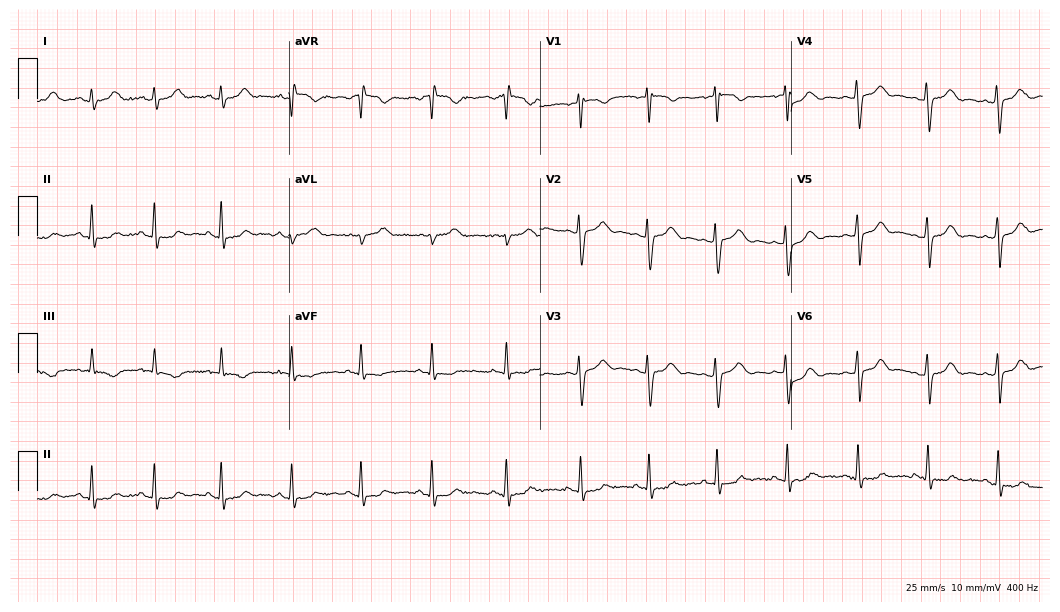
12-lead ECG from a female, 18 years old (10.2-second recording at 400 Hz). No first-degree AV block, right bundle branch block, left bundle branch block, sinus bradycardia, atrial fibrillation or sinus tachycardia recorded for this tracing. Findings outside these six are not listed.